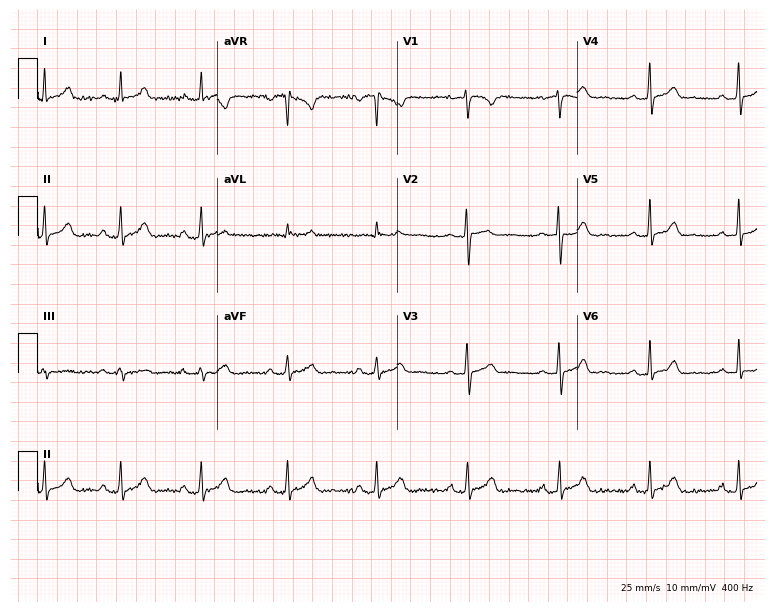
Resting 12-lead electrocardiogram. Patient: a woman, 33 years old. Read as a normal ECG.